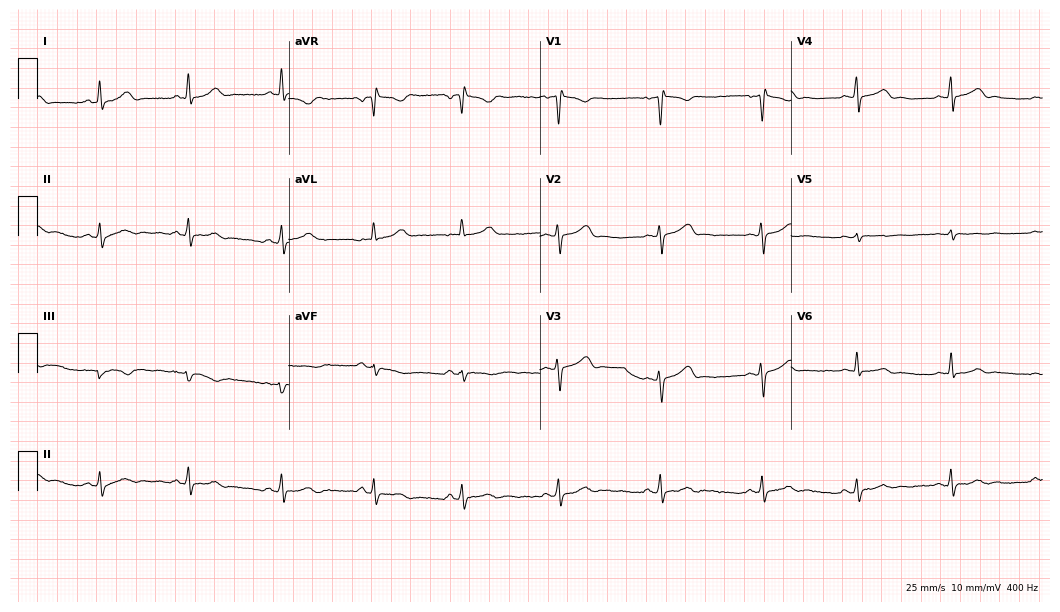
12-lead ECG from a female patient, 23 years old. No first-degree AV block, right bundle branch block (RBBB), left bundle branch block (LBBB), sinus bradycardia, atrial fibrillation (AF) or sinus tachycardia recorded for this tracing.